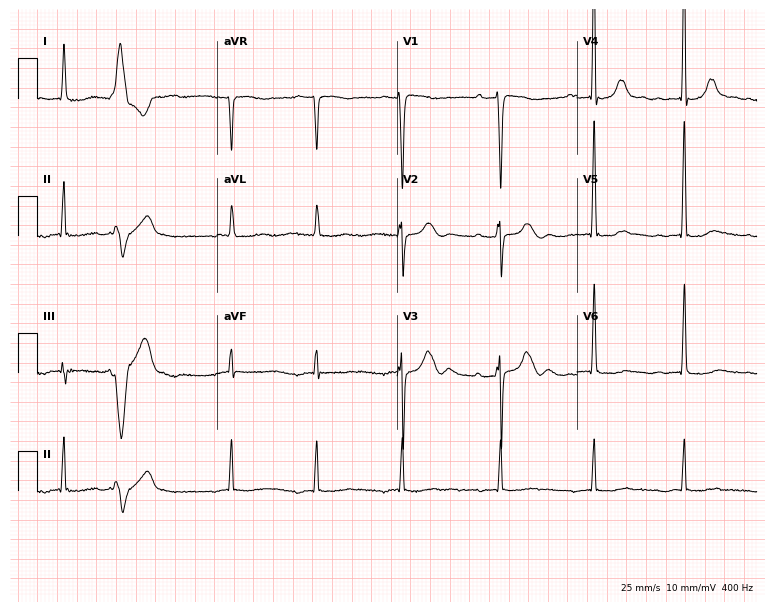
12-lead ECG from an 84-year-old male patient (7.3-second recording at 400 Hz). Shows atrial fibrillation.